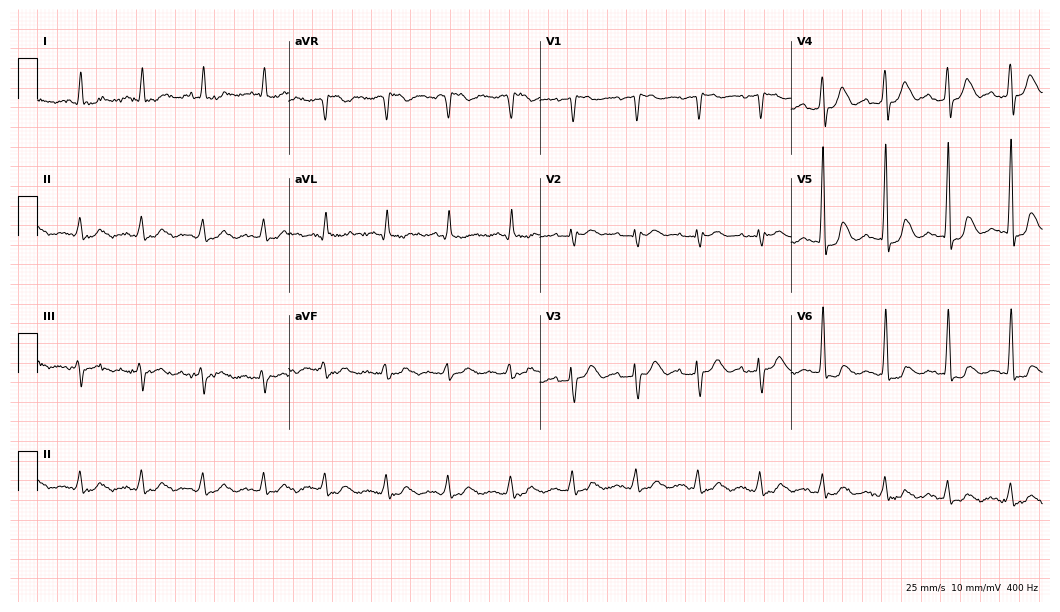
Resting 12-lead electrocardiogram (10.2-second recording at 400 Hz). Patient: a 62-year-old woman. None of these six findings is recorded: first-degree AV block, right bundle branch block (RBBB), left bundle branch block (LBBB), sinus bradycardia, atrial fibrillation (AF), sinus tachycardia. Other findings, if any, are not listed.